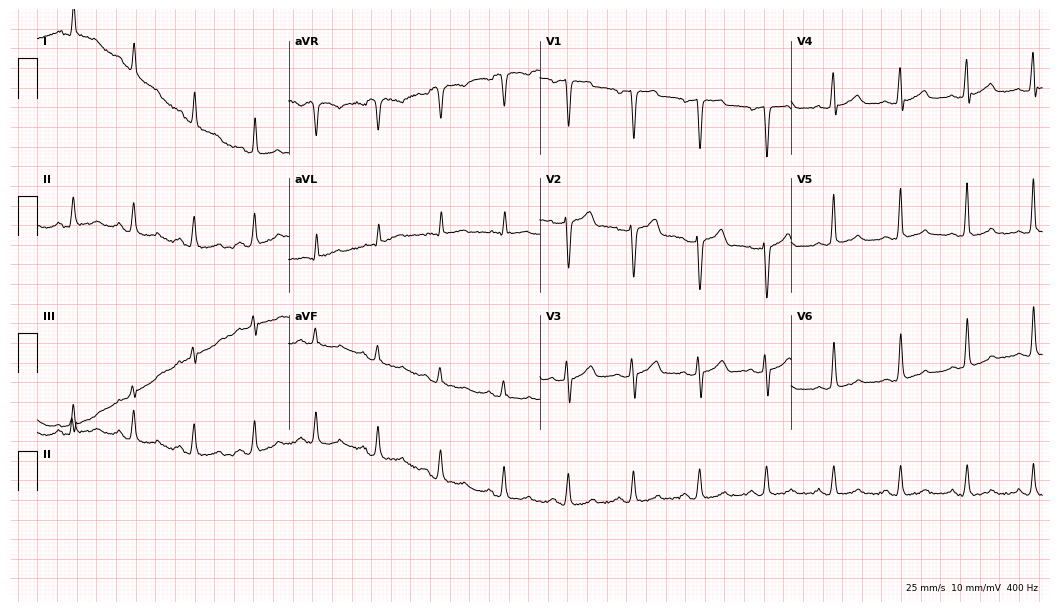
12-lead ECG from a 57-year-old male patient (10.2-second recording at 400 Hz). Recorded interpretation: within normal limits.